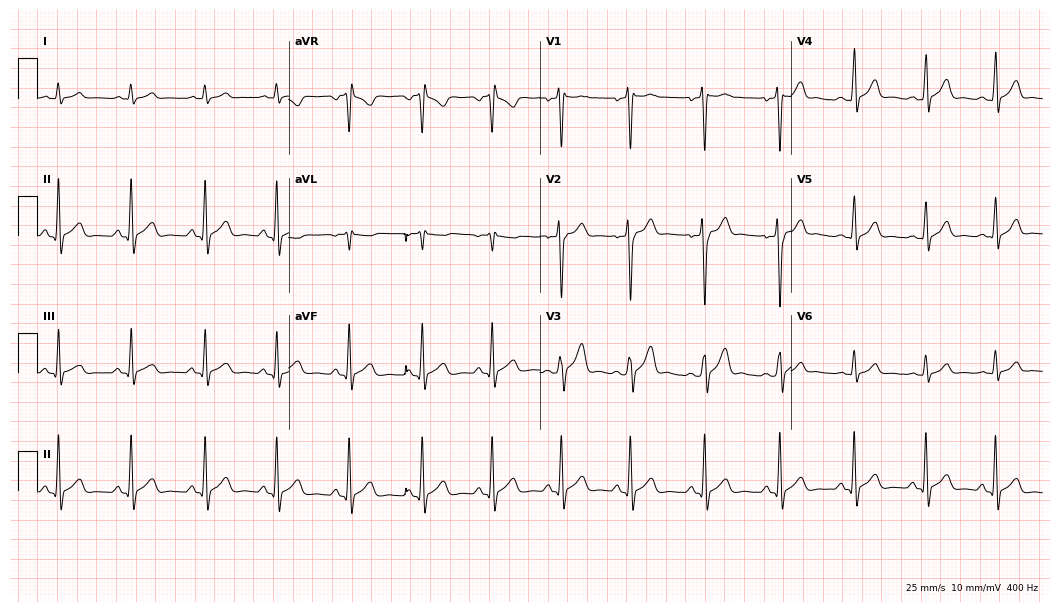
12-lead ECG (10.2-second recording at 400 Hz) from a man, 25 years old. Labelled as a normal ECG.